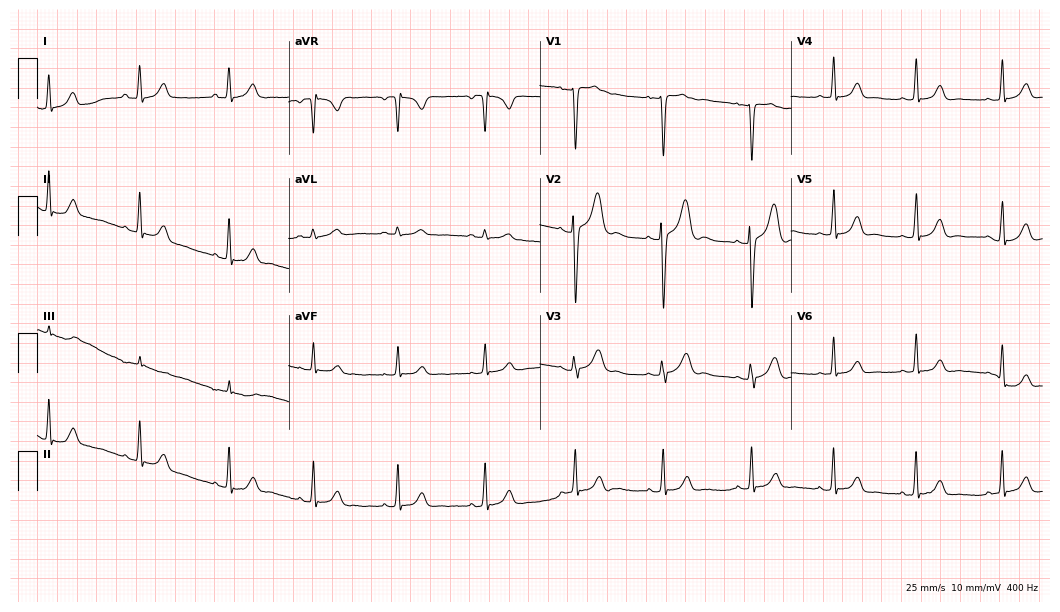
12-lead ECG from a female patient, 17 years old. No first-degree AV block, right bundle branch block, left bundle branch block, sinus bradycardia, atrial fibrillation or sinus tachycardia recorded for this tracing. Only these six findings were labelled.